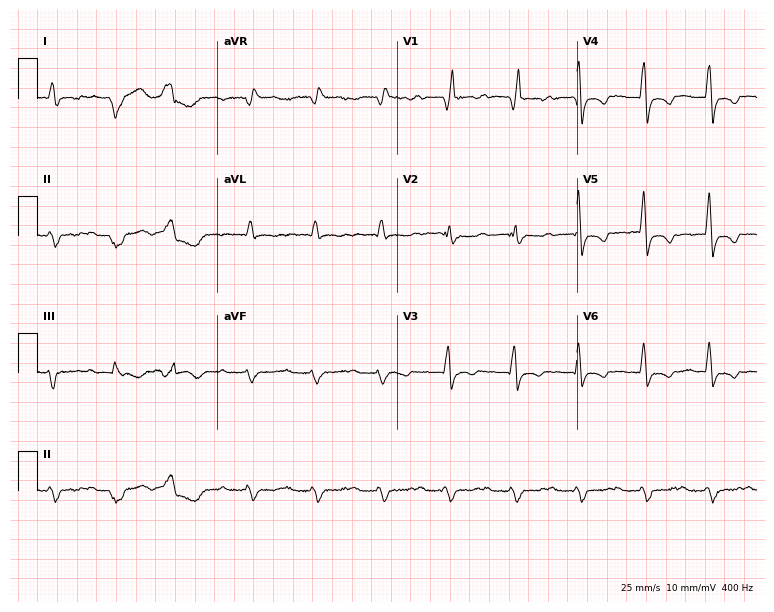
Standard 12-lead ECG recorded from a woman, 84 years old (7.3-second recording at 400 Hz). The tracing shows first-degree AV block, right bundle branch block (RBBB).